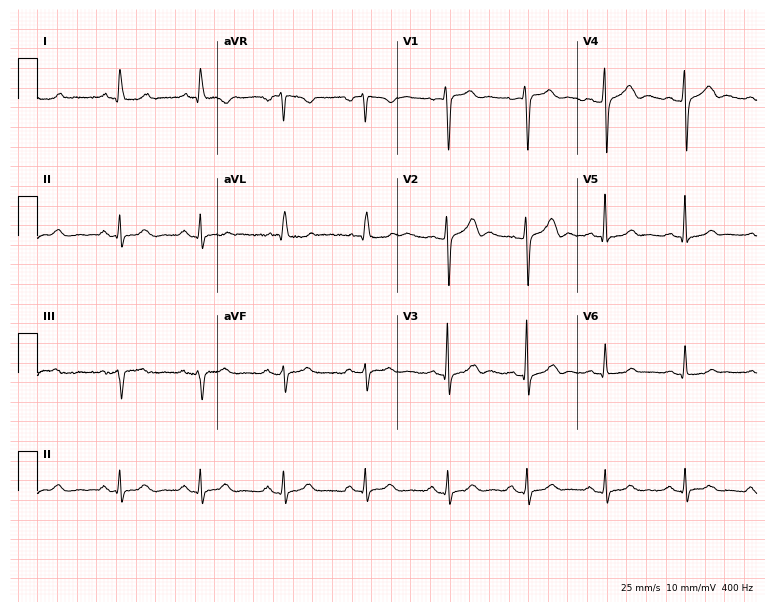
Resting 12-lead electrocardiogram (7.3-second recording at 400 Hz). Patient: a 72-year-old woman. Read as a normal ECG.